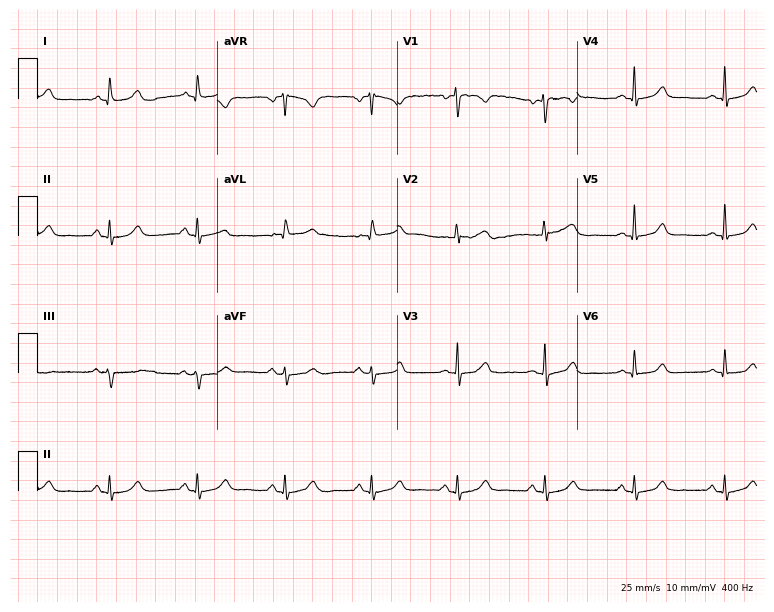
12-lead ECG (7.3-second recording at 400 Hz) from a woman, 49 years old. Labelled as a normal ECG.